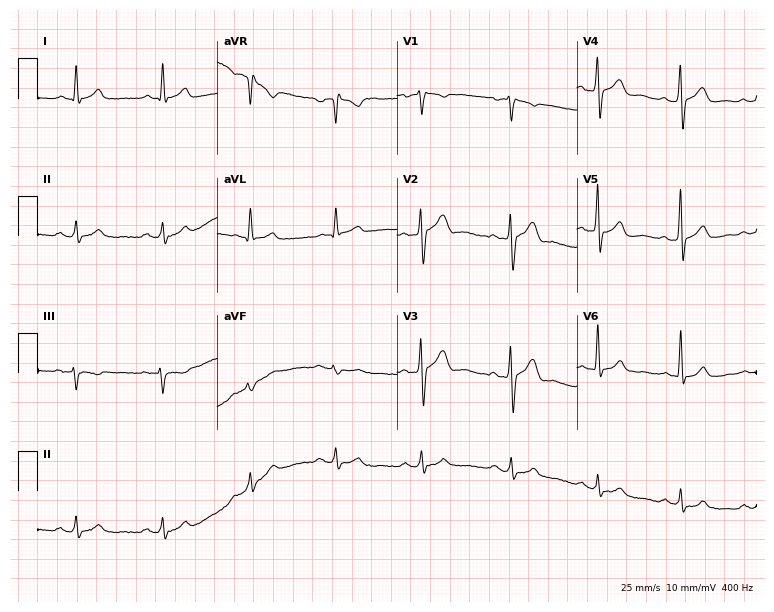
Resting 12-lead electrocardiogram (7.3-second recording at 400 Hz). Patient: a 35-year-old female. None of these six findings is recorded: first-degree AV block, right bundle branch block, left bundle branch block, sinus bradycardia, atrial fibrillation, sinus tachycardia. Only these six findings were labelled.